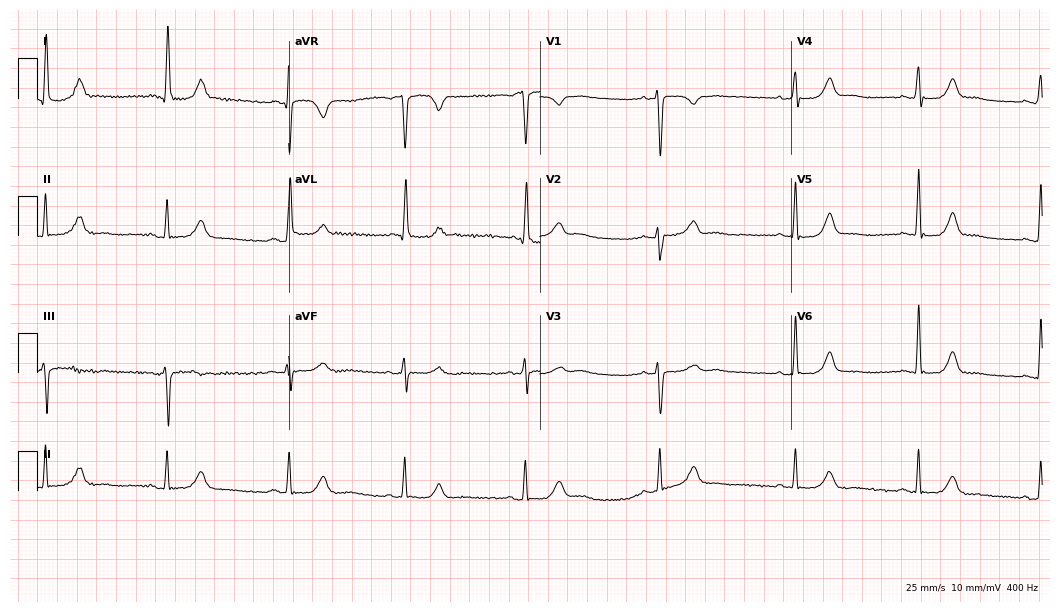
Standard 12-lead ECG recorded from a 77-year-old female patient. The tracing shows sinus bradycardia (a sinus rate of 50 beats per minute or less).